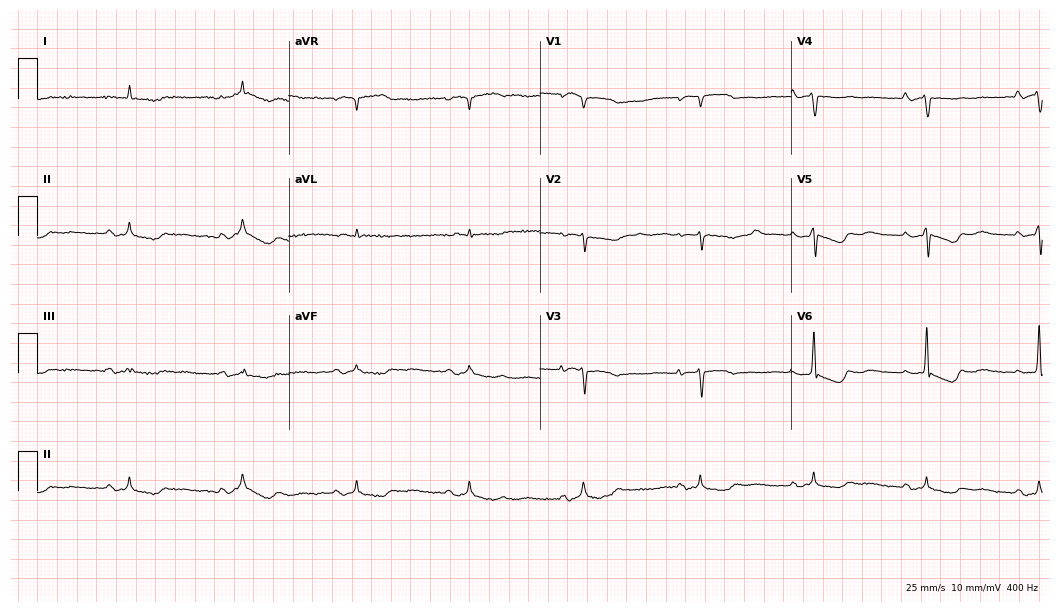
Standard 12-lead ECG recorded from a woman, 86 years old (10.2-second recording at 400 Hz). None of these six findings is recorded: first-degree AV block, right bundle branch block (RBBB), left bundle branch block (LBBB), sinus bradycardia, atrial fibrillation (AF), sinus tachycardia.